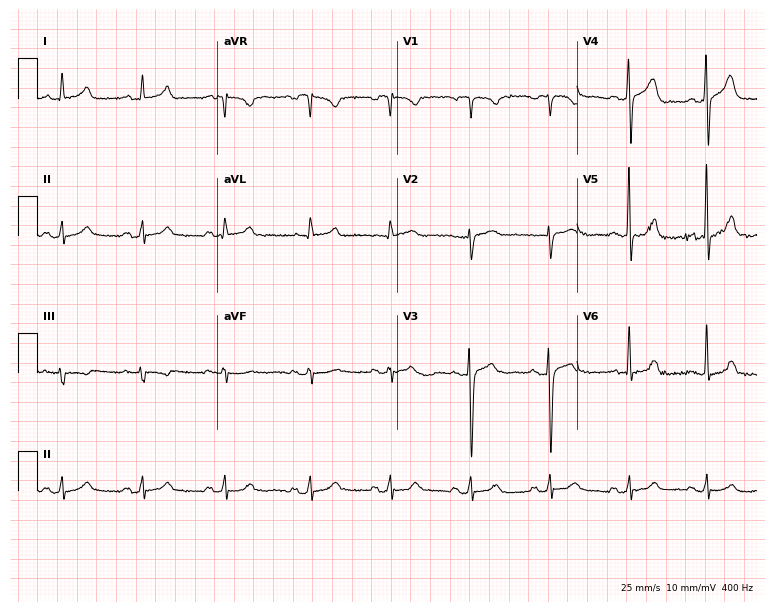
Resting 12-lead electrocardiogram (7.3-second recording at 400 Hz). Patient: a female, 49 years old. Read as a normal ECG.